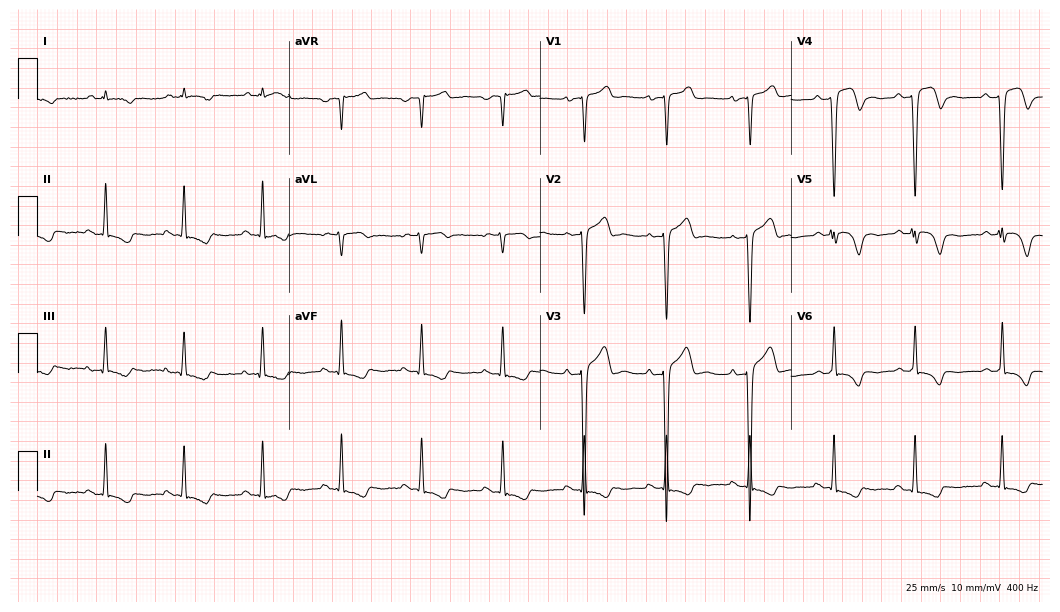
12-lead ECG from a man, 64 years old (10.2-second recording at 400 Hz). No first-degree AV block, right bundle branch block, left bundle branch block, sinus bradycardia, atrial fibrillation or sinus tachycardia recorded for this tracing. Findings outside these six are not listed.